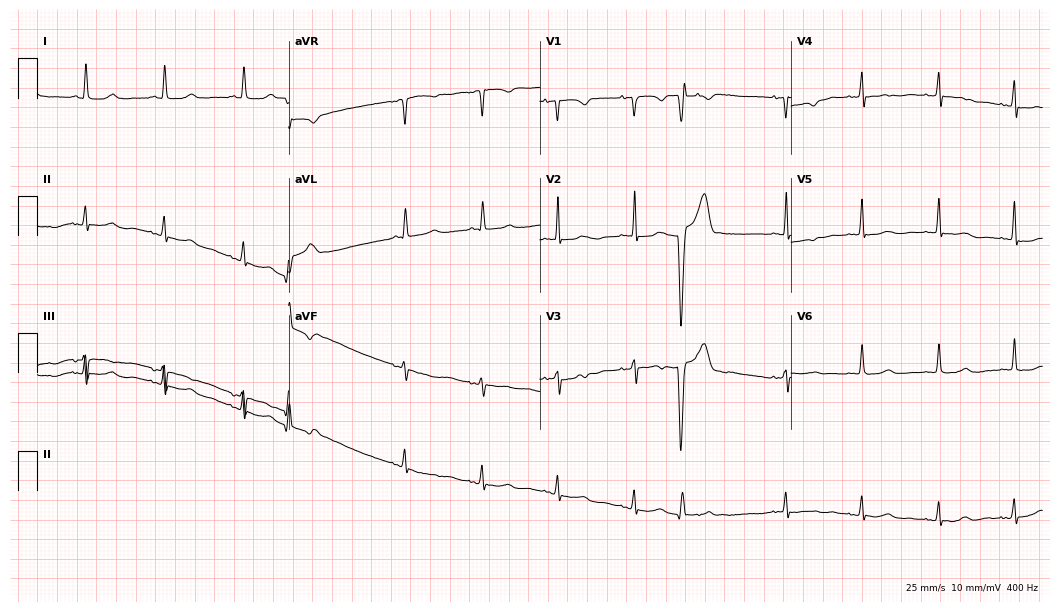
12-lead ECG from a woman, 69 years old (10.2-second recording at 400 Hz). No first-degree AV block, right bundle branch block, left bundle branch block, sinus bradycardia, atrial fibrillation or sinus tachycardia recorded for this tracing. Other findings, if any, are not listed.